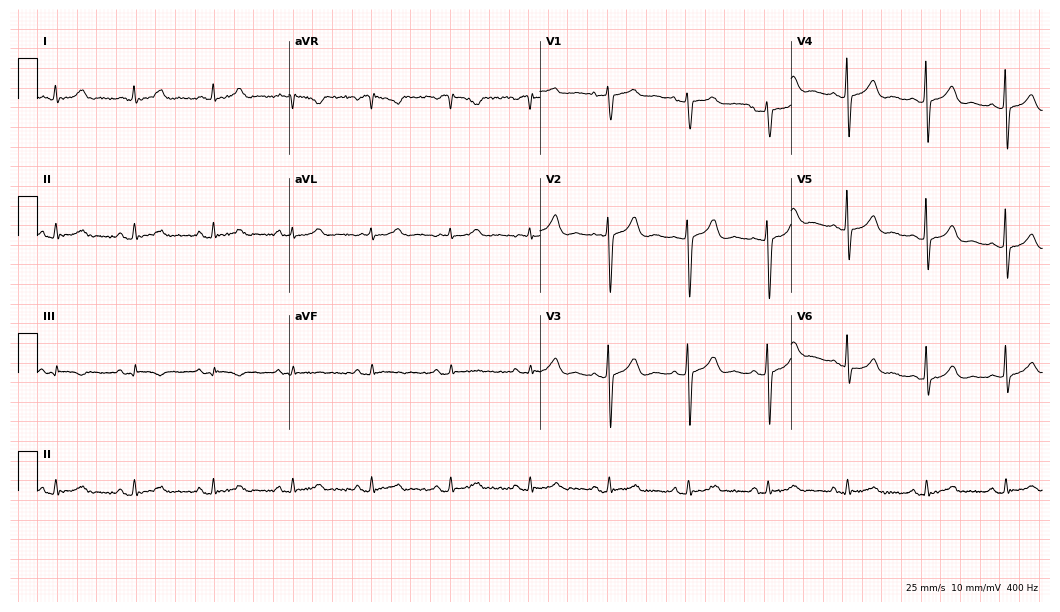
Electrocardiogram, a woman, 66 years old. Overall reading on record: normal ECG.